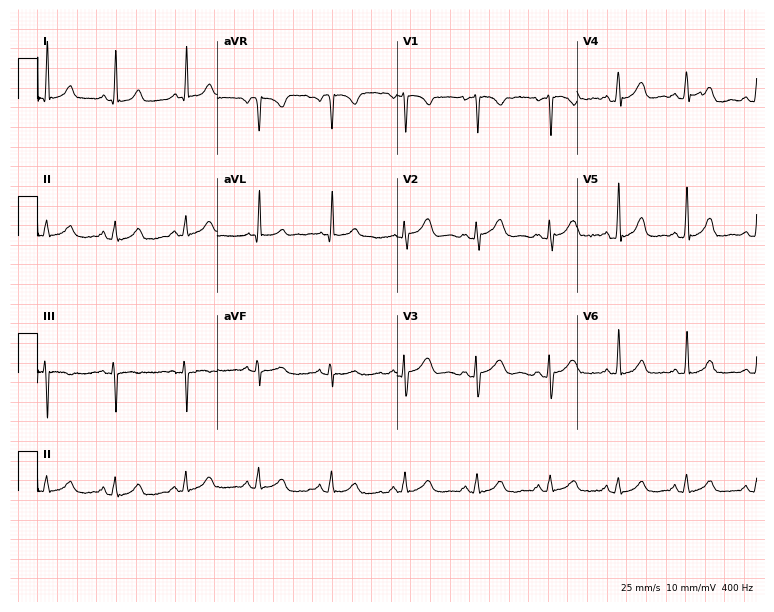
Resting 12-lead electrocardiogram. Patient: a woman, 30 years old. Read as a normal ECG.